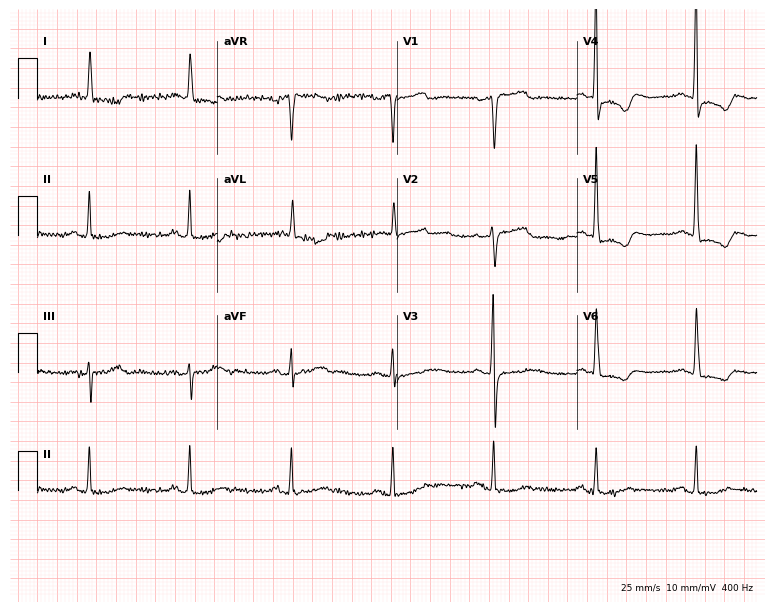
Standard 12-lead ECG recorded from a female patient, 68 years old. None of these six findings is recorded: first-degree AV block, right bundle branch block, left bundle branch block, sinus bradycardia, atrial fibrillation, sinus tachycardia.